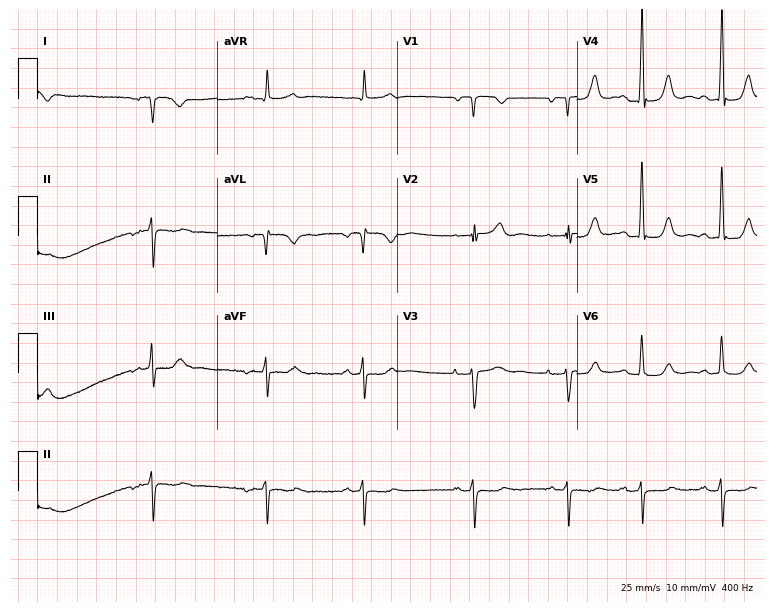
Resting 12-lead electrocardiogram (7.3-second recording at 400 Hz). Patient: a 66-year-old female. None of these six findings is recorded: first-degree AV block, right bundle branch block, left bundle branch block, sinus bradycardia, atrial fibrillation, sinus tachycardia.